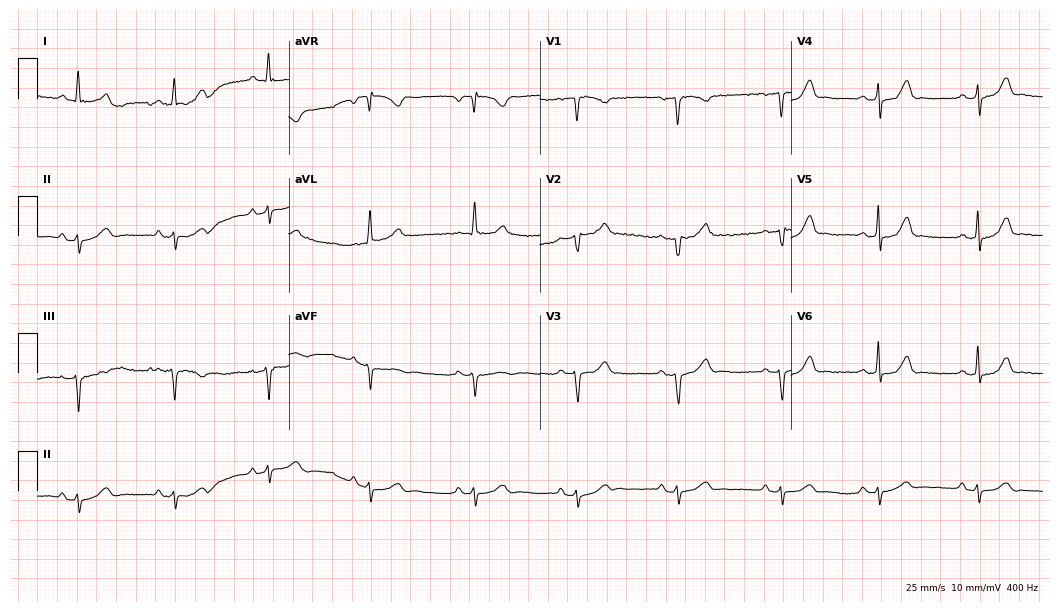
12-lead ECG from a 45-year-old female. No first-degree AV block, right bundle branch block, left bundle branch block, sinus bradycardia, atrial fibrillation or sinus tachycardia recorded for this tracing.